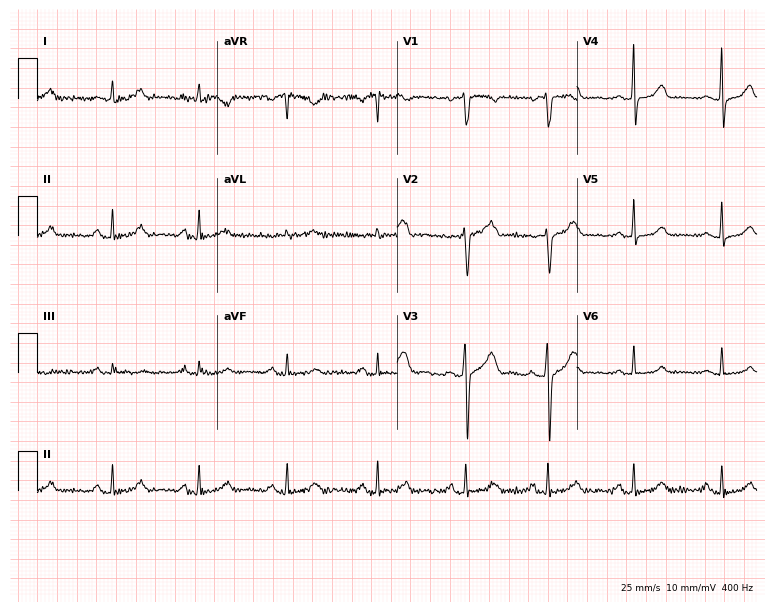
Resting 12-lead electrocardiogram. Patient: a 30-year-old female. Read as a normal ECG.